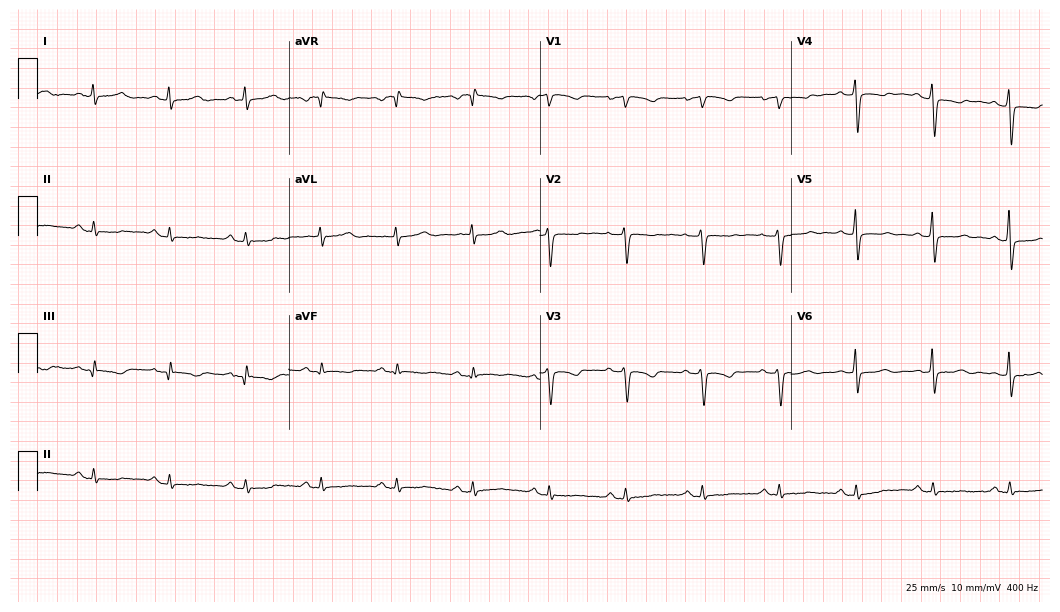
12-lead ECG (10.2-second recording at 400 Hz) from a woman, 60 years old. Screened for six findings — first-degree AV block, right bundle branch block (RBBB), left bundle branch block (LBBB), sinus bradycardia, atrial fibrillation (AF), sinus tachycardia — none is recorded. Other findings, if any, are not listed.